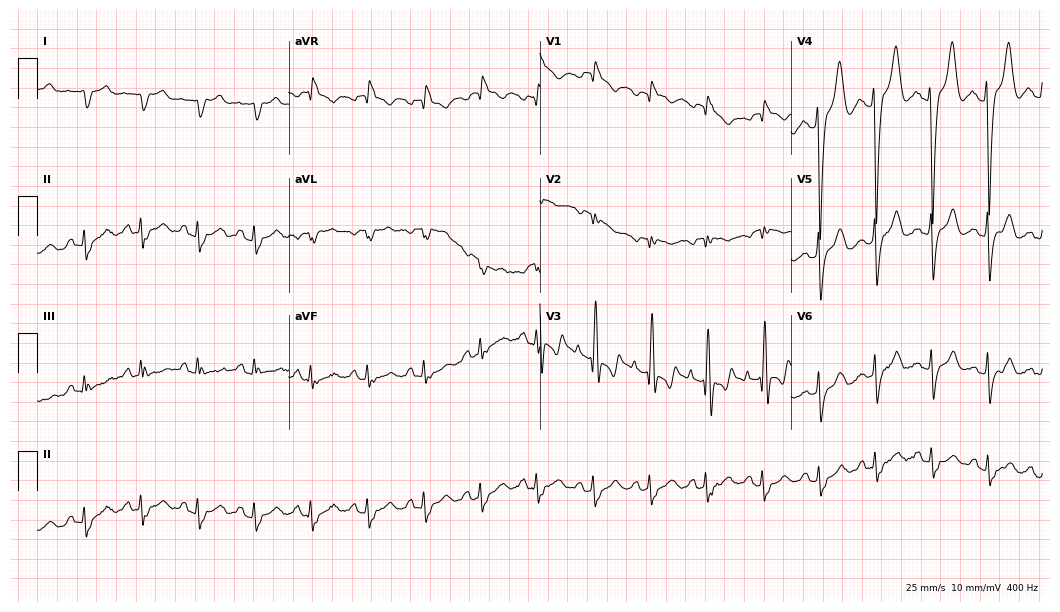
12-lead ECG from a man, 79 years old (10.2-second recording at 400 Hz). No first-degree AV block, right bundle branch block (RBBB), left bundle branch block (LBBB), sinus bradycardia, atrial fibrillation (AF) or sinus tachycardia recorded for this tracing.